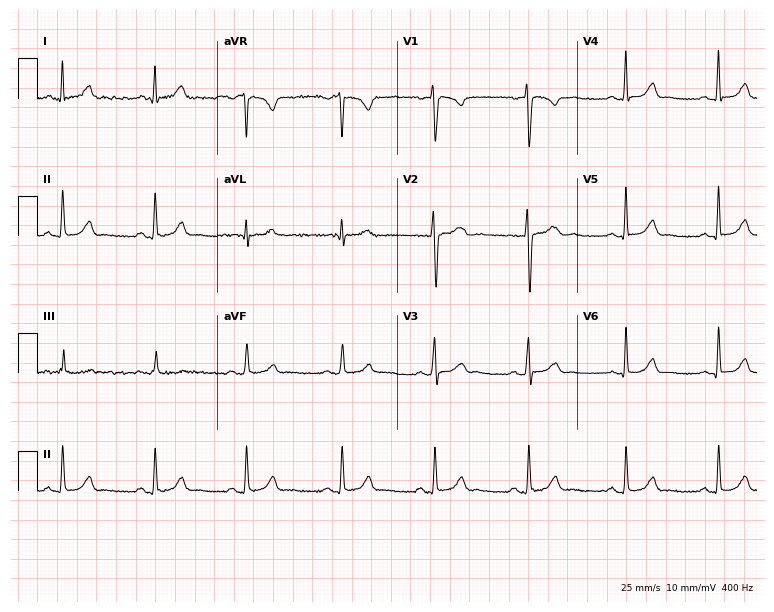
ECG (7.3-second recording at 400 Hz) — a 27-year-old female. Labelled as a normal ECG.